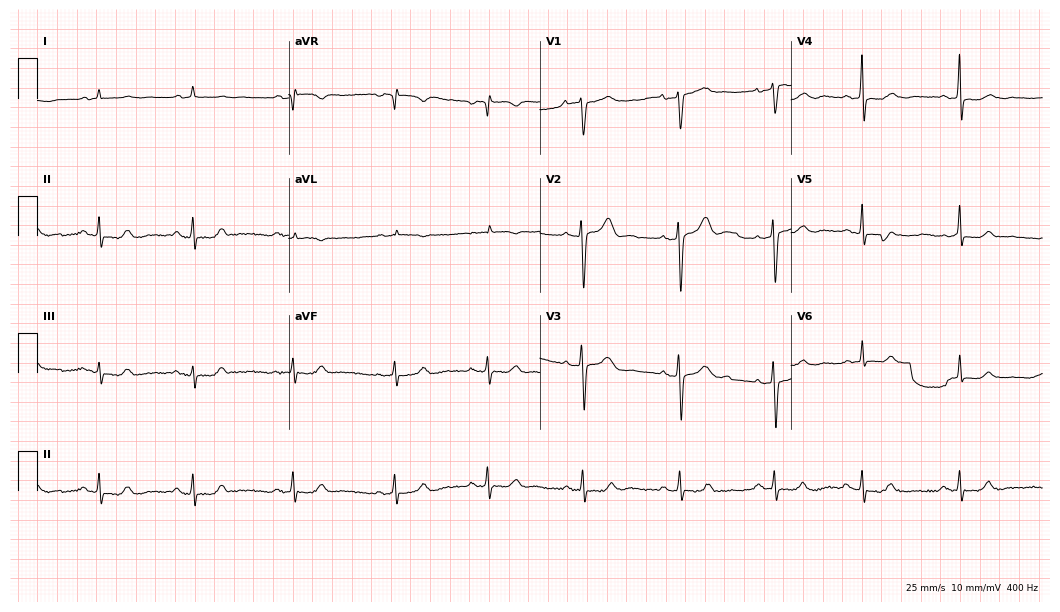
Resting 12-lead electrocardiogram. Patient: a 42-year-old woman. Read as a normal ECG.